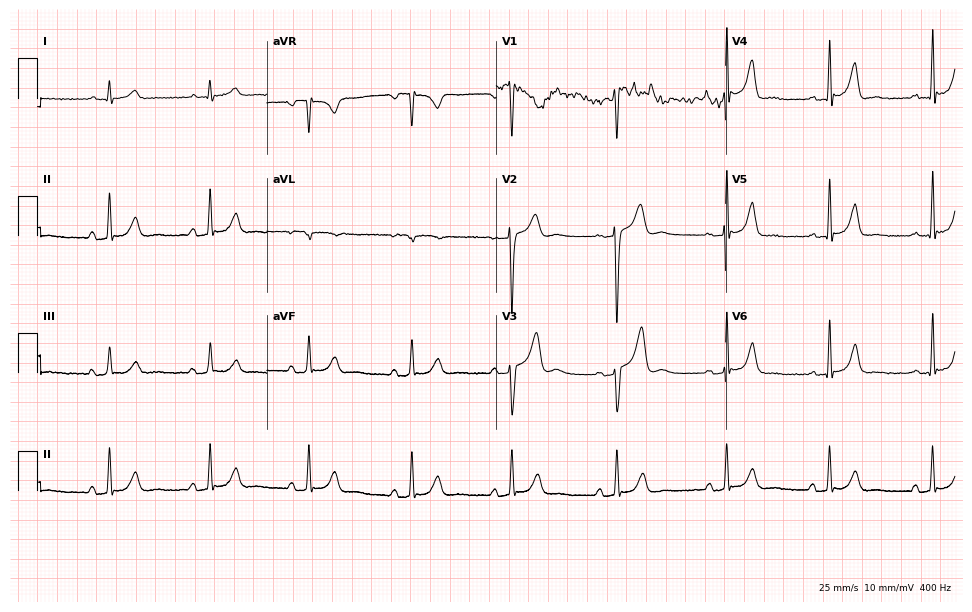
Electrocardiogram, a 33-year-old male patient. Overall reading on record: normal ECG.